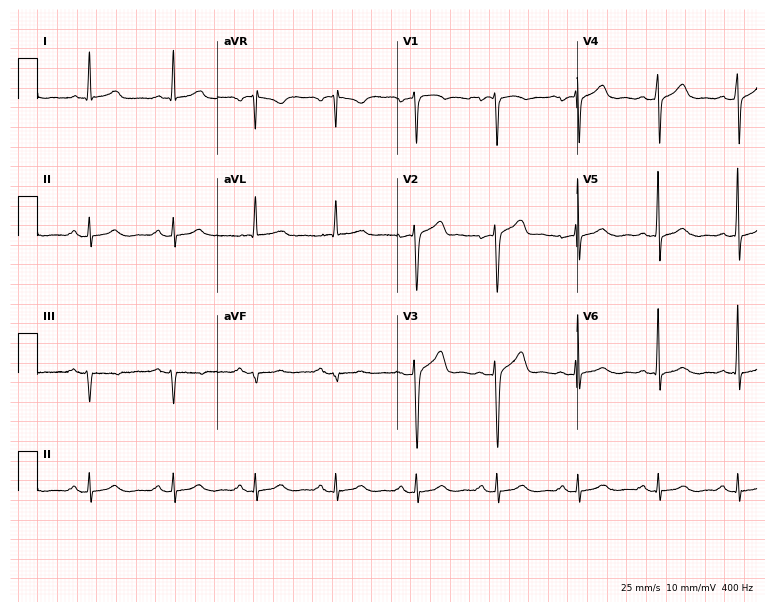
12-lead ECG from a man, 56 years old (7.3-second recording at 400 Hz). Recorded interpretation: within normal limits.